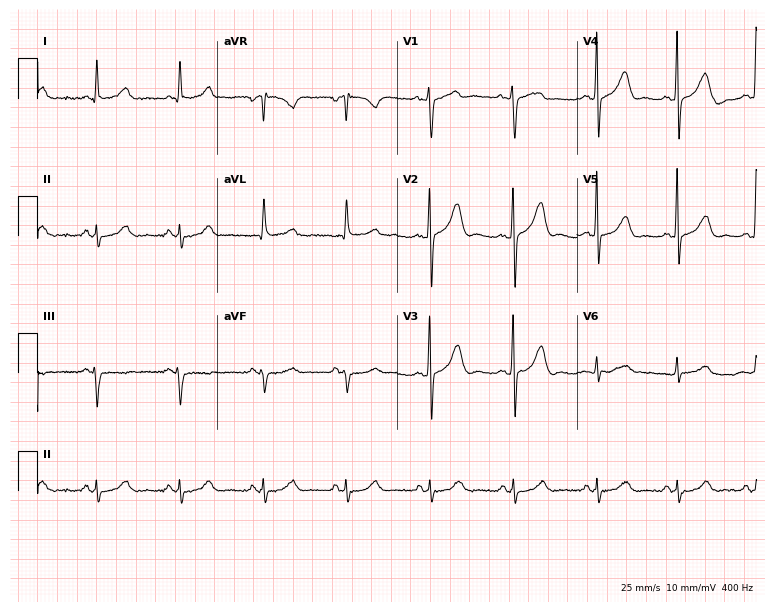
ECG — an 83-year-old male patient. Labelled as a normal ECG.